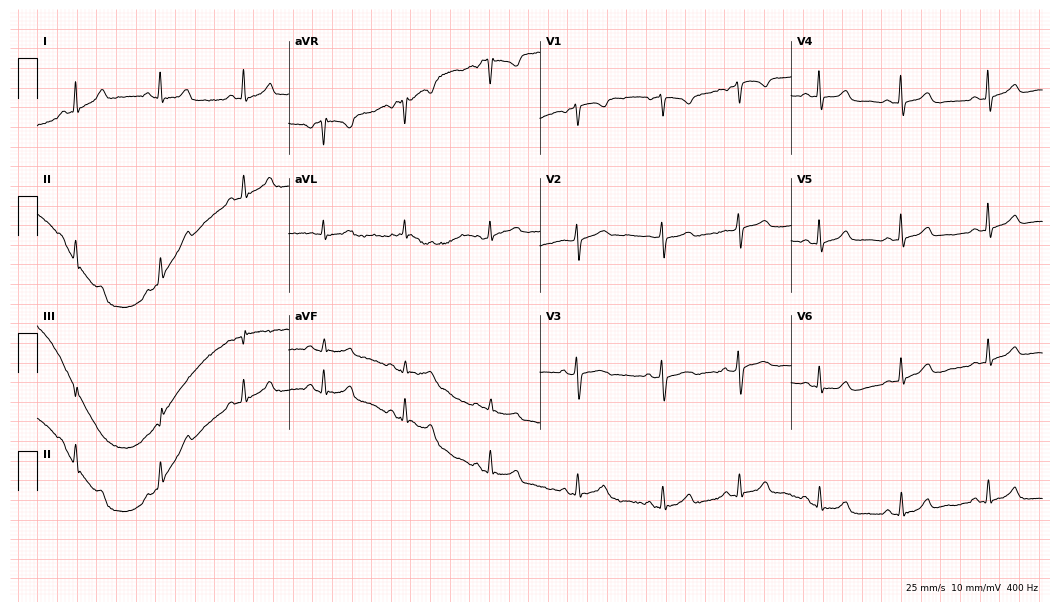
Standard 12-lead ECG recorded from a 44-year-old female patient. None of these six findings is recorded: first-degree AV block, right bundle branch block (RBBB), left bundle branch block (LBBB), sinus bradycardia, atrial fibrillation (AF), sinus tachycardia. Other findings, if any, are not listed.